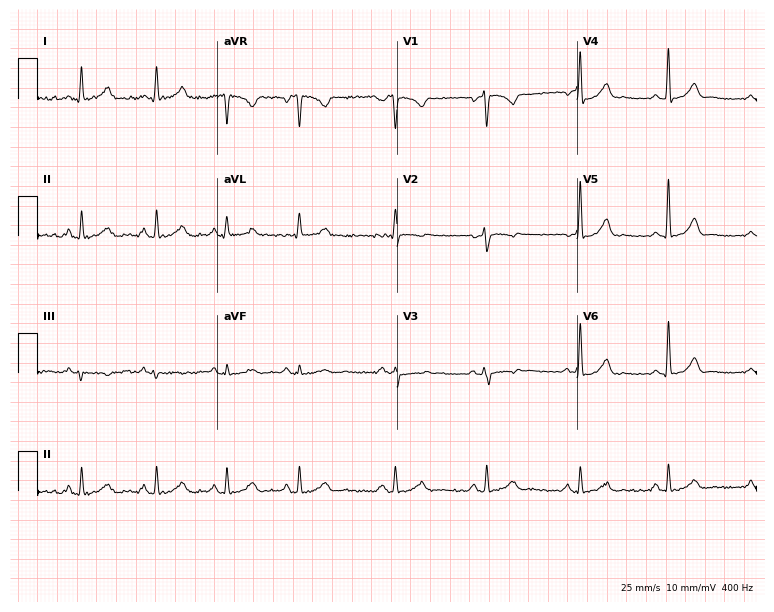
ECG (7.3-second recording at 400 Hz) — a 36-year-old woman. Screened for six findings — first-degree AV block, right bundle branch block, left bundle branch block, sinus bradycardia, atrial fibrillation, sinus tachycardia — none is recorded.